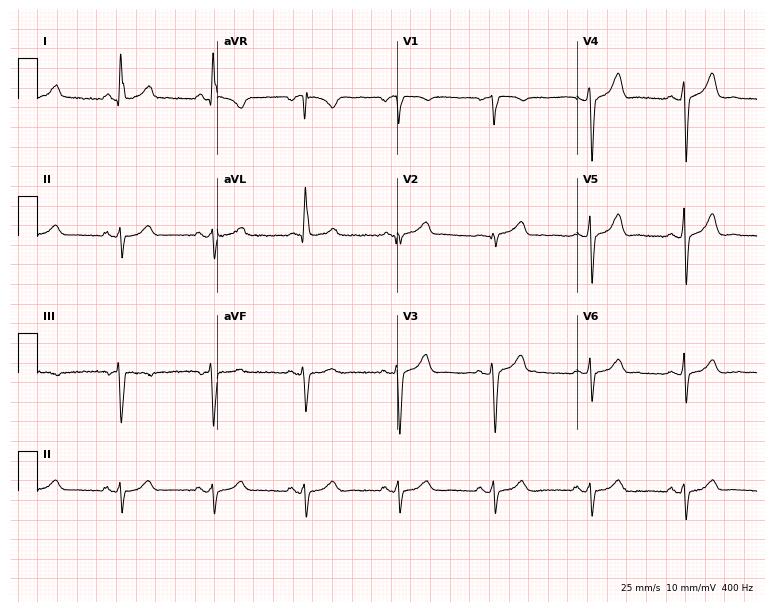
Electrocardiogram, a 55-year-old female patient. Of the six screened findings (first-degree AV block, right bundle branch block (RBBB), left bundle branch block (LBBB), sinus bradycardia, atrial fibrillation (AF), sinus tachycardia), none is recorded.